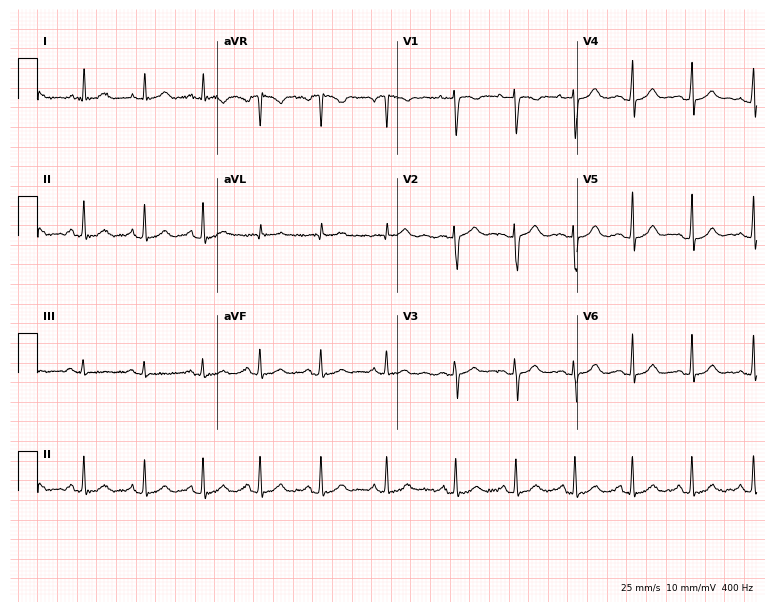
Electrocardiogram (7.3-second recording at 400 Hz), an 18-year-old female. Of the six screened findings (first-degree AV block, right bundle branch block (RBBB), left bundle branch block (LBBB), sinus bradycardia, atrial fibrillation (AF), sinus tachycardia), none is recorded.